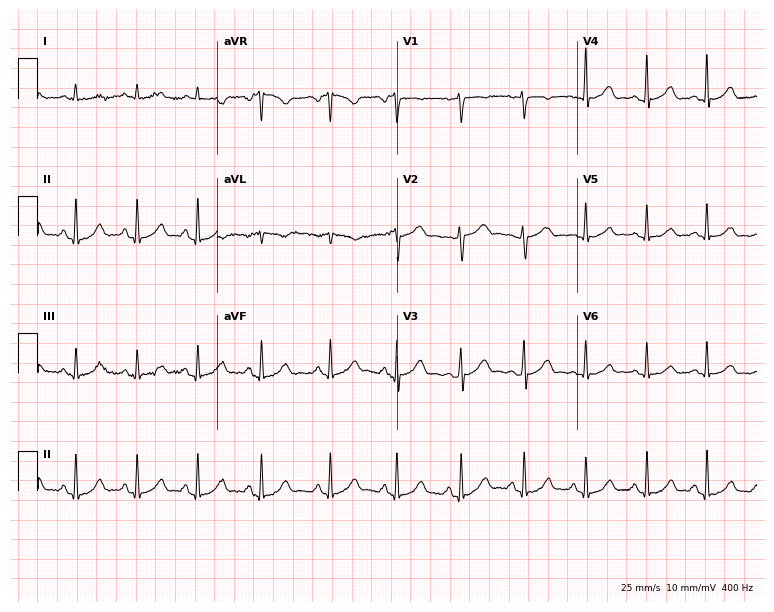
Standard 12-lead ECG recorded from a 45-year-old woman (7.3-second recording at 400 Hz). None of these six findings is recorded: first-degree AV block, right bundle branch block (RBBB), left bundle branch block (LBBB), sinus bradycardia, atrial fibrillation (AF), sinus tachycardia. Only these six findings were labelled.